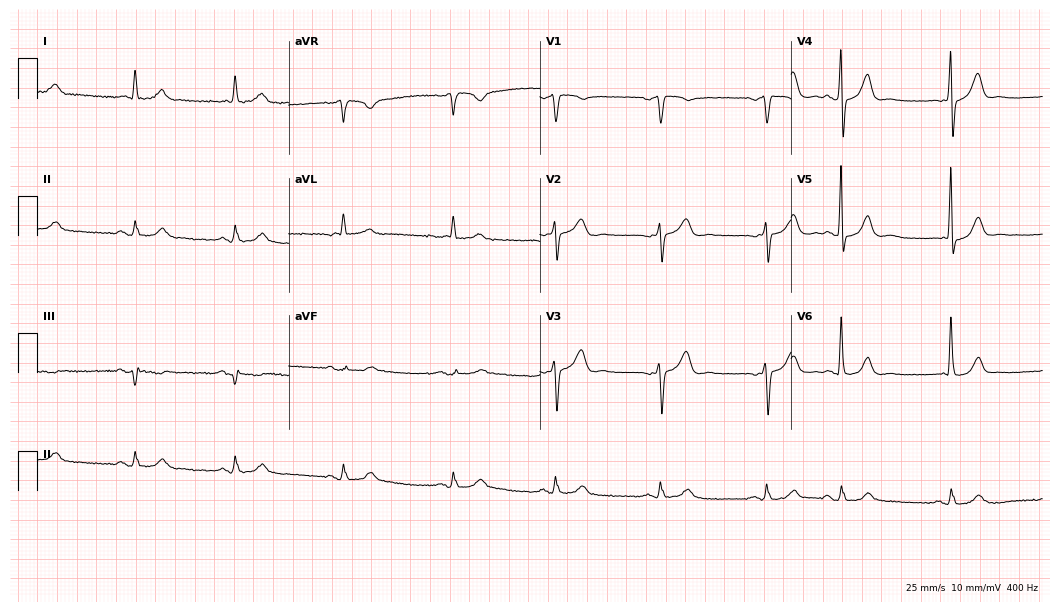
ECG — a male, 79 years old. Screened for six findings — first-degree AV block, right bundle branch block (RBBB), left bundle branch block (LBBB), sinus bradycardia, atrial fibrillation (AF), sinus tachycardia — none is recorded. Findings outside these six are not listed.